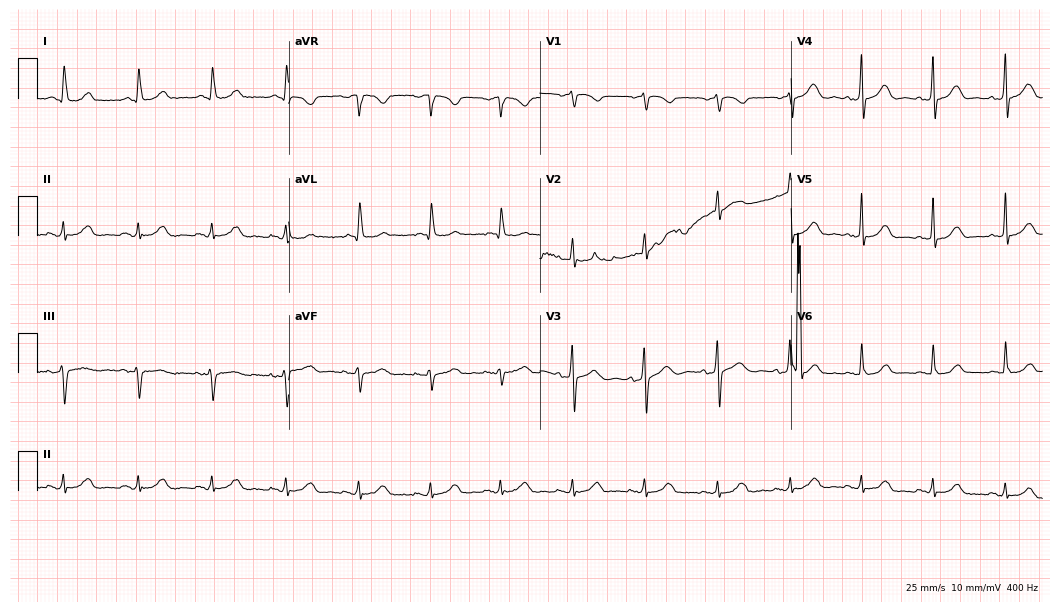
Resting 12-lead electrocardiogram. Patient: a 65-year-old woman. None of these six findings is recorded: first-degree AV block, right bundle branch block (RBBB), left bundle branch block (LBBB), sinus bradycardia, atrial fibrillation (AF), sinus tachycardia.